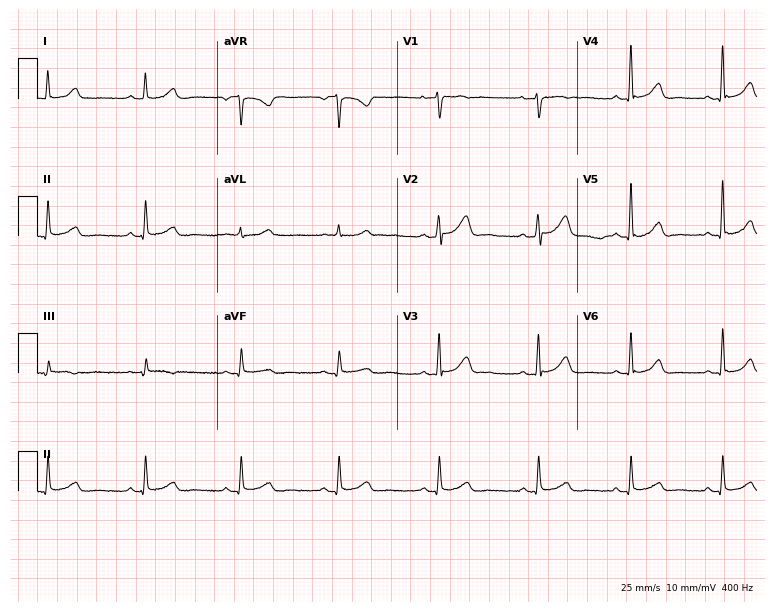
ECG — a female, 52 years old. Labelled as a normal ECG.